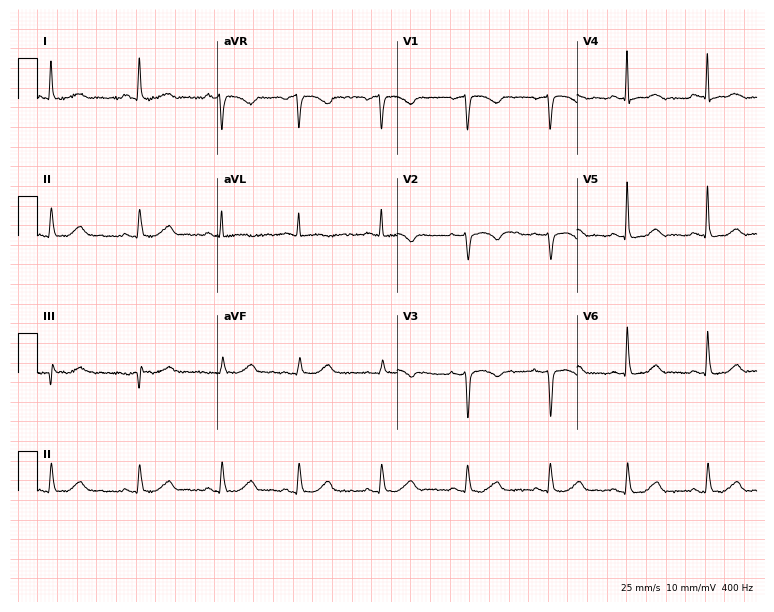
Standard 12-lead ECG recorded from a female, 63 years old (7.3-second recording at 400 Hz). None of these six findings is recorded: first-degree AV block, right bundle branch block, left bundle branch block, sinus bradycardia, atrial fibrillation, sinus tachycardia.